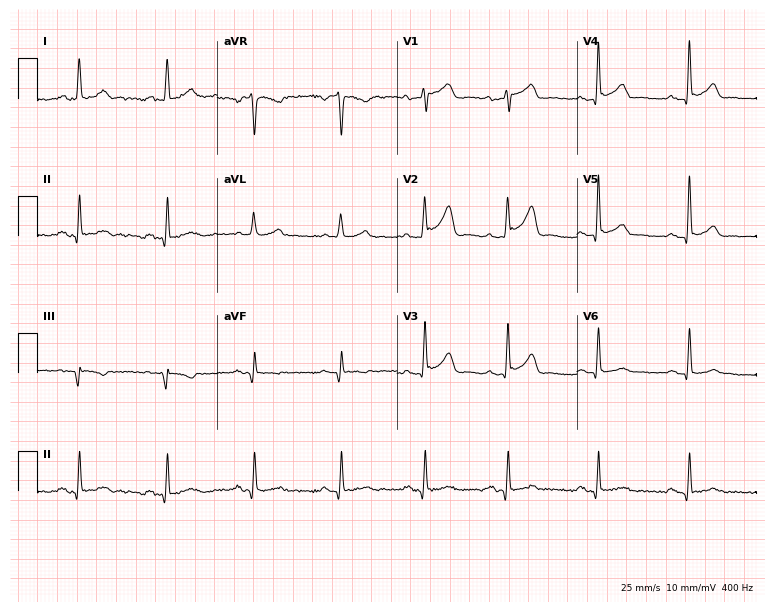
Electrocardiogram, a male, 53 years old. Of the six screened findings (first-degree AV block, right bundle branch block, left bundle branch block, sinus bradycardia, atrial fibrillation, sinus tachycardia), none is recorded.